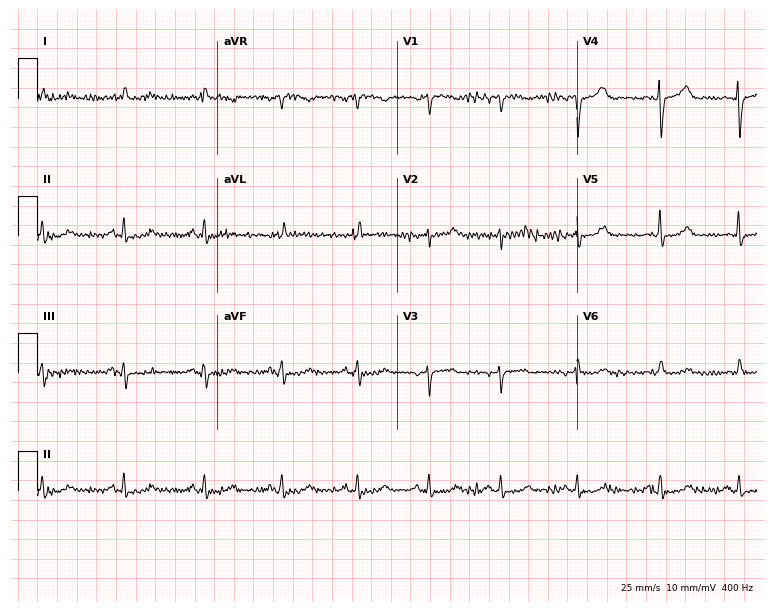
12-lead ECG (7.3-second recording at 400 Hz) from an 81-year-old female patient. Labelled as a normal ECG.